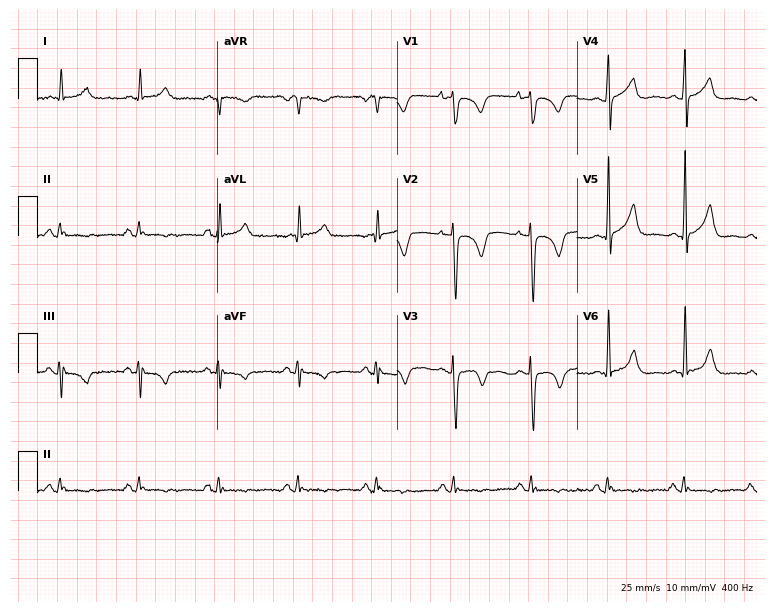
Standard 12-lead ECG recorded from a 64-year-old male. Read as a normal ECG.